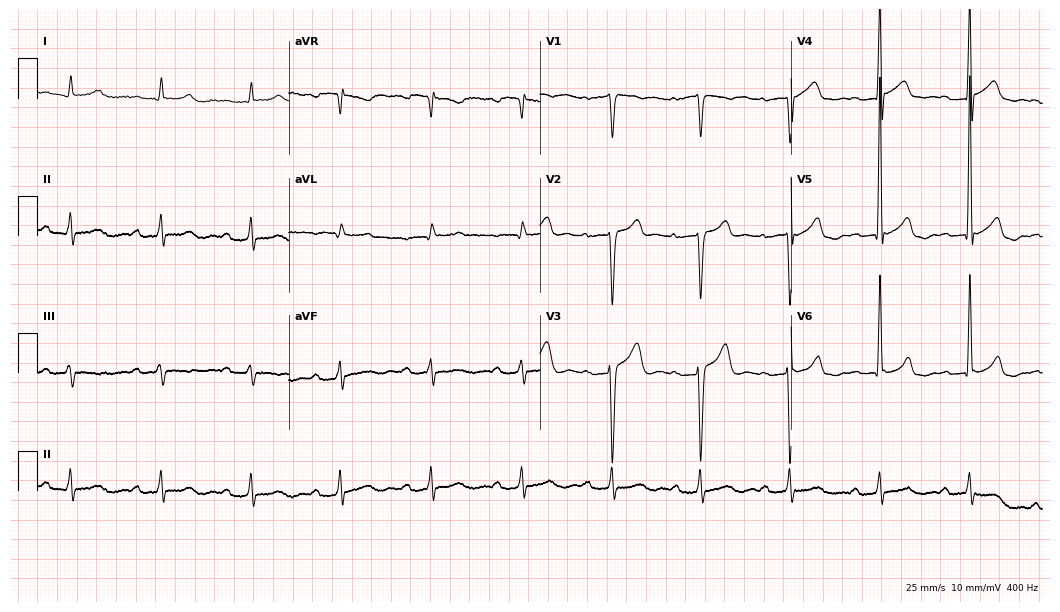
ECG — a male, 51 years old. Findings include first-degree AV block.